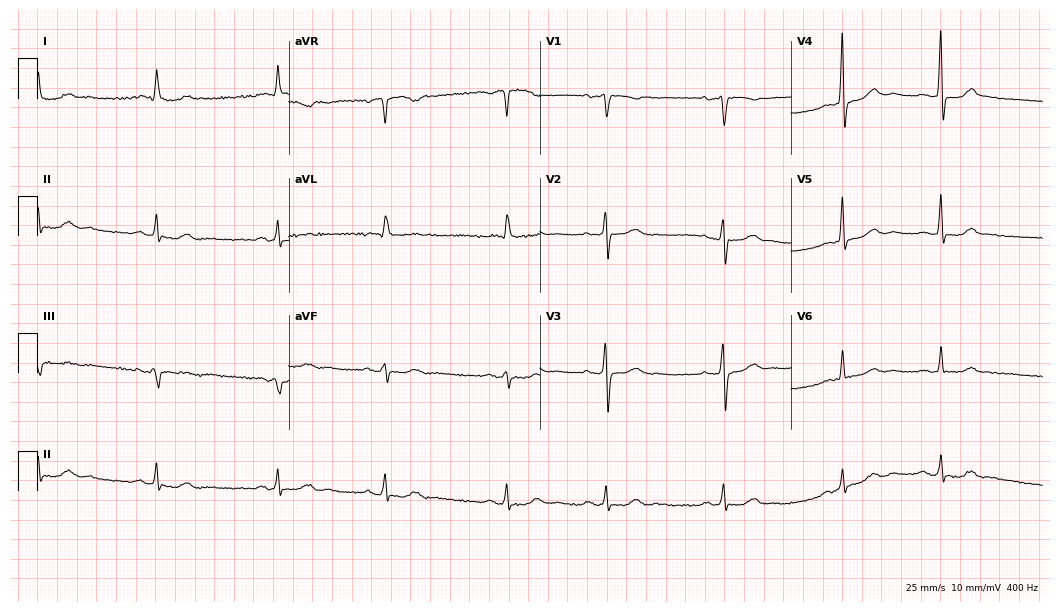
12-lead ECG (10.2-second recording at 400 Hz) from a female patient, 64 years old. Screened for six findings — first-degree AV block, right bundle branch block, left bundle branch block, sinus bradycardia, atrial fibrillation, sinus tachycardia — none is recorded.